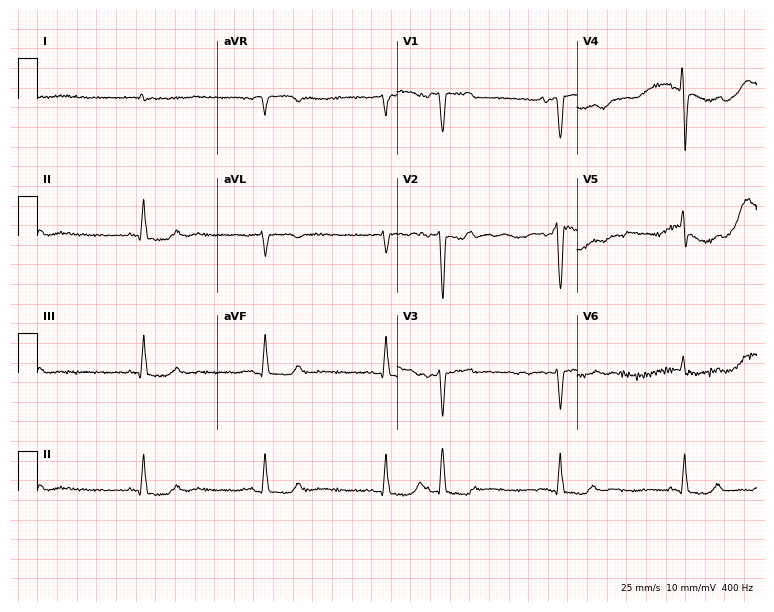
12-lead ECG from a male, 73 years old. No first-degree AV block, right bundle branch block, left bundle branch block, sinus bradycardia, atrial fibrillation or sinus tachycardia recorded for this tracing. Findings outside these six are not listed.